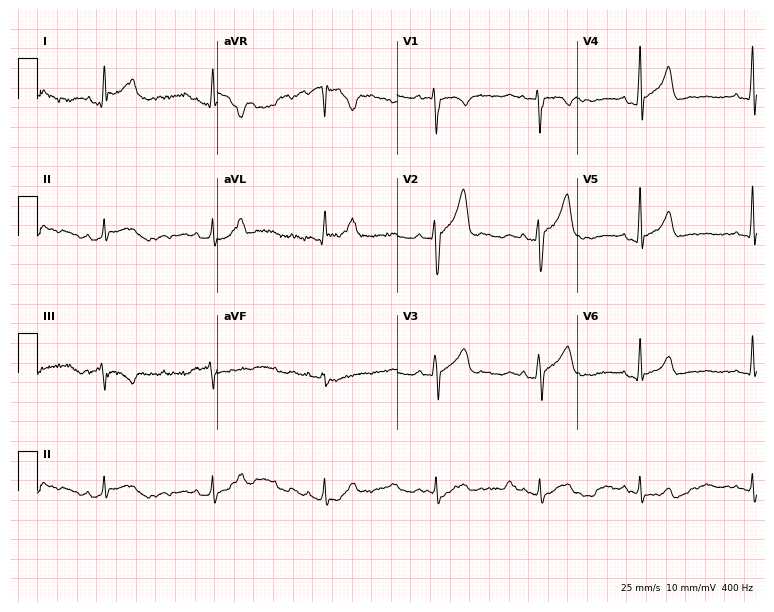
12-lead ECG from a male patient, 46 years old. Screened for six findings — first-degree AV block, right bundle branch block, left bundle branch block, sinus bradycardia, atrial fibrillation, sinus tachycardia — none is recorded. Only these six findings were labelled.